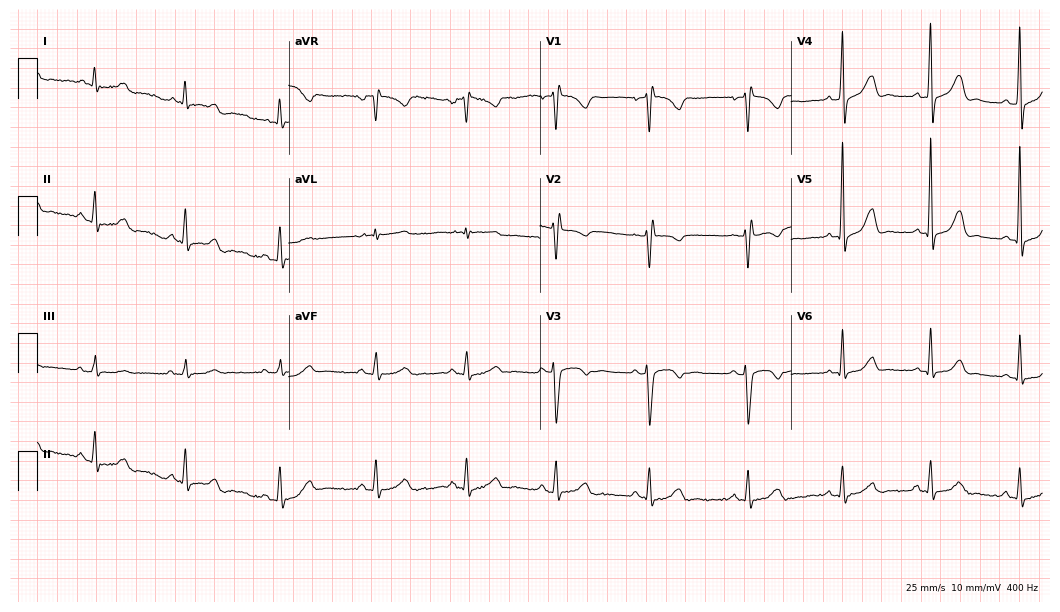
Resting 12-lead electrocardiogram. Patient: a woman, 49 years old. None of these six findings is recorded: first-degree AV block, right bundle branch block, left bundle branch block, sinus bradycardia, atrial fibrillation, sinus tachycardia.